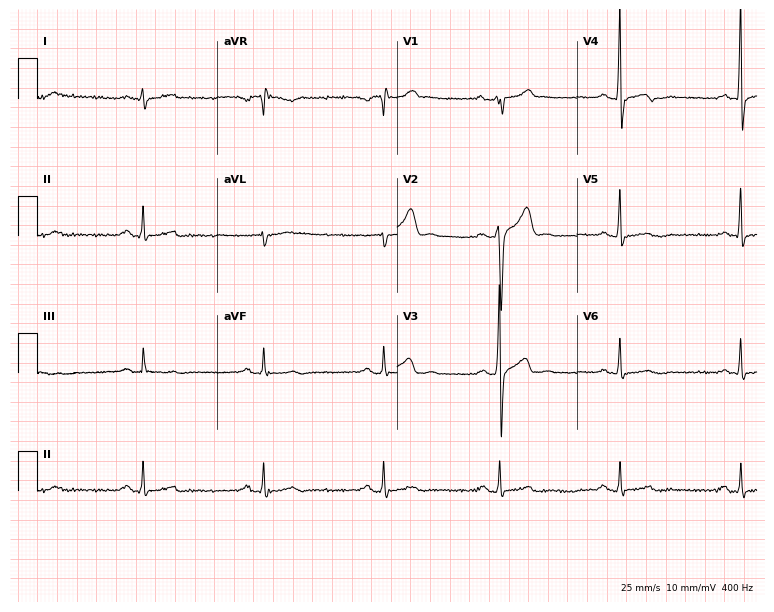
12-lead ECG from a male patient, 54 years old (7.3-second recording at 400 Hz). No first-degree AV block, right bundle branch block, left bundle branch block, sinus bradycardia, atrial fibrillation or sinus tachycardia recorded for this tracing.